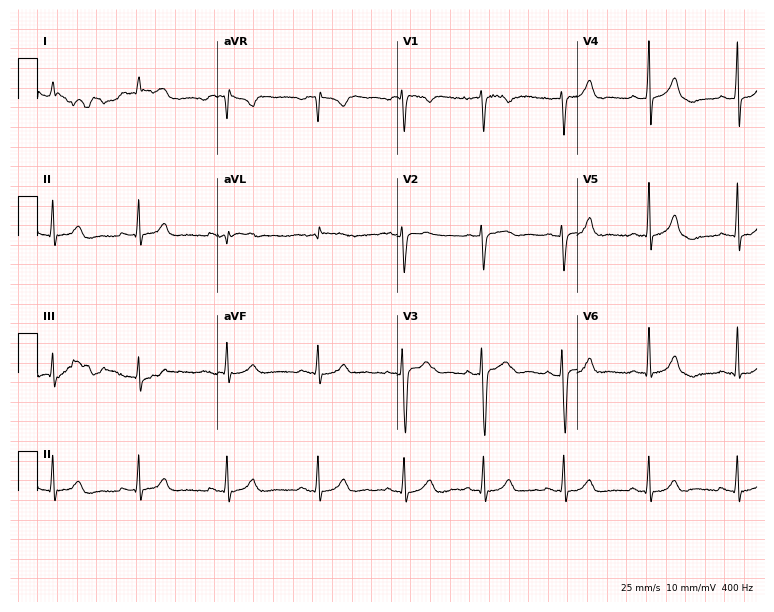
Standard 12-lead ECG recorded from a 38-year-old female (7.3-second recording at 400 Hz). Read as a normal ECG.